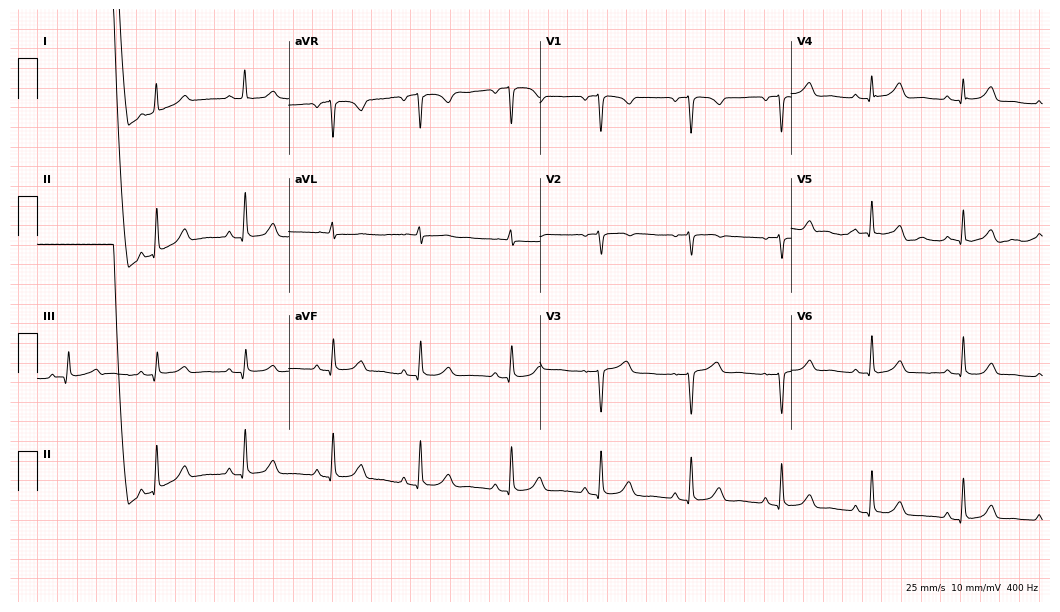
12-lead ECG from a female patient, 68 years old. No first-degree AV block, right bundle branch block, left bundle branch block, sinus bradycardia, atrial fibrillation or sinus tachycardia recorded for this tracing.